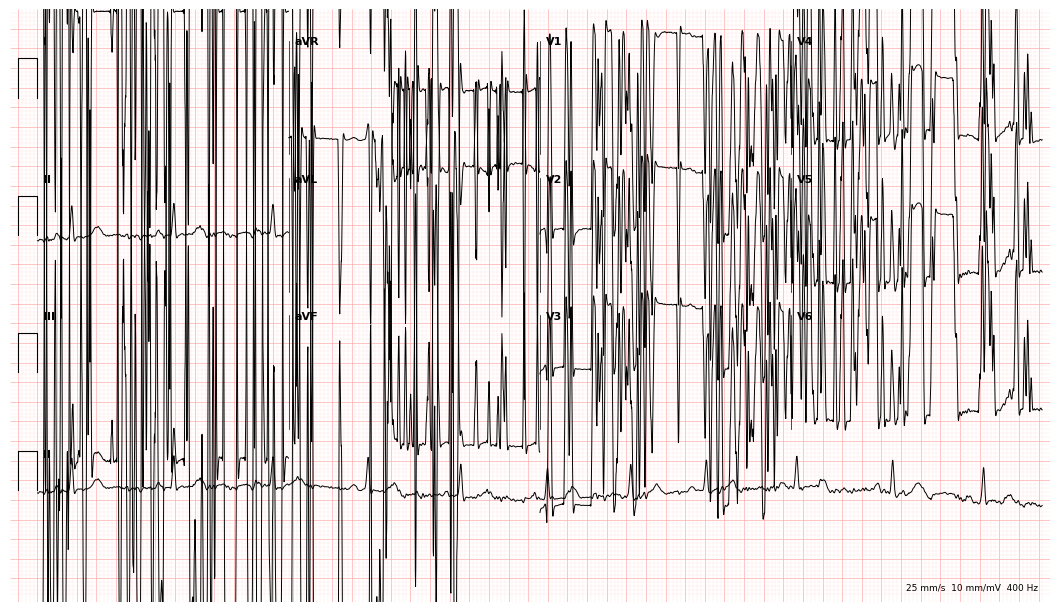
Electrocardiogram (10.2-second recording at 400 Hz), a woman, 30 years old. Of the six screened findings (first-degree AV block, right bundle branch block, left bundle branch block, sinus bradycardia, atrial fibrillation, sinus tachycardia), none is recorded.